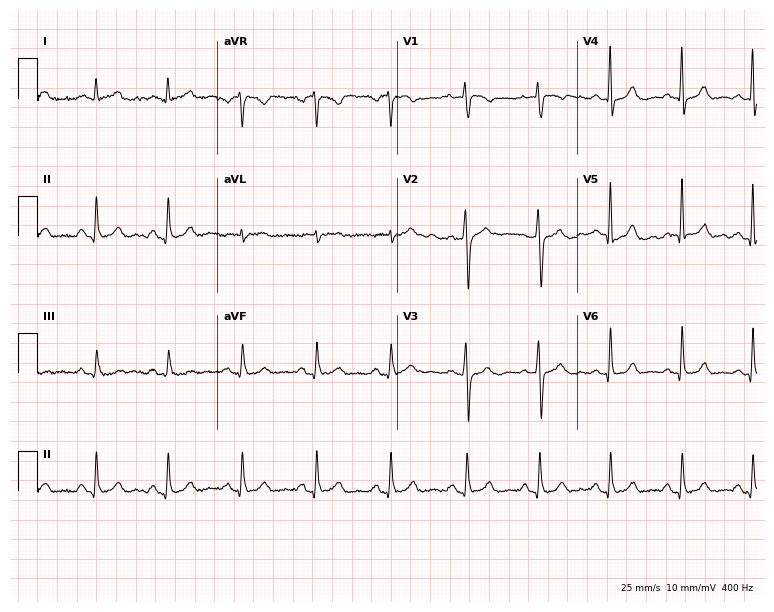
ECG (7.3-second recording at 400 Hz) — a woman, 38 years old. Screened for six findings — first-degree AV block, right bundle branch block (RBBB), left bundle branch block (LBBB), sinus bradycardia, atrial fibrillation (AF), sinus tachycardia — none is recorded. Other findings, if any, are not listed.